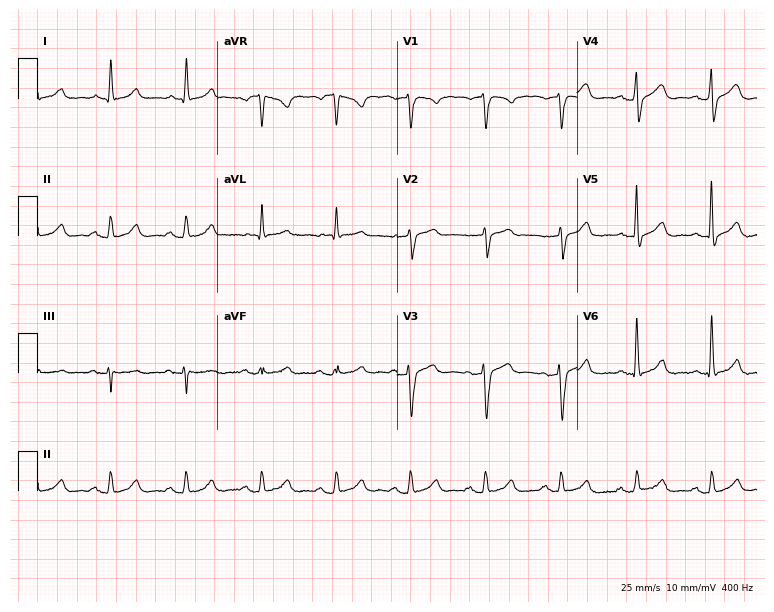
Resting 12-lead electrocardiogram (7.3-second recording at 400 Hz). Patient: a man, 71 years old. Read as a normal ECG.